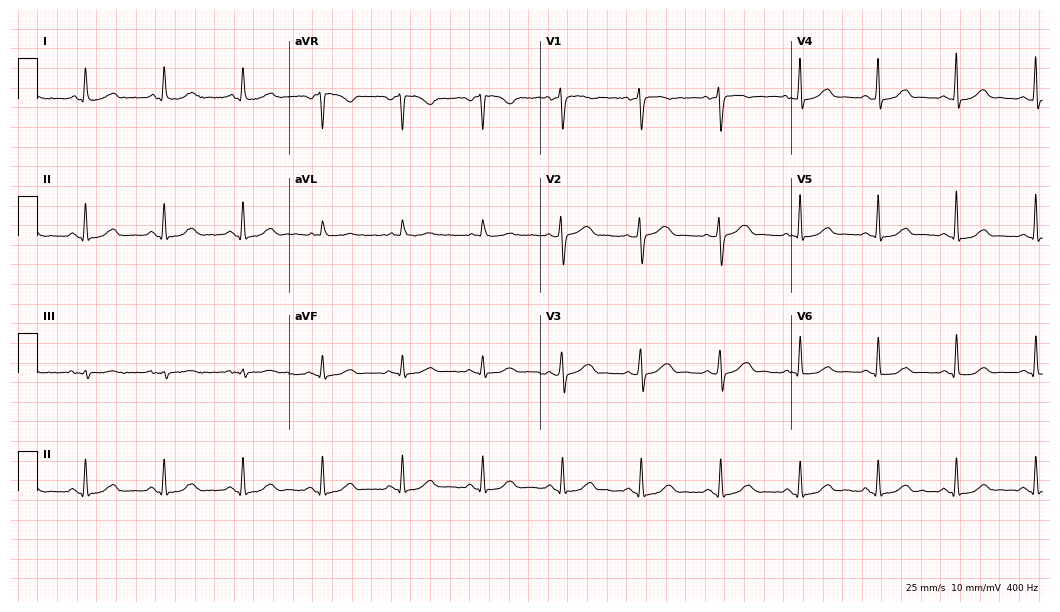
12-lead ECG from a female, 67 years old. Recorded interpretation: within normal limits.